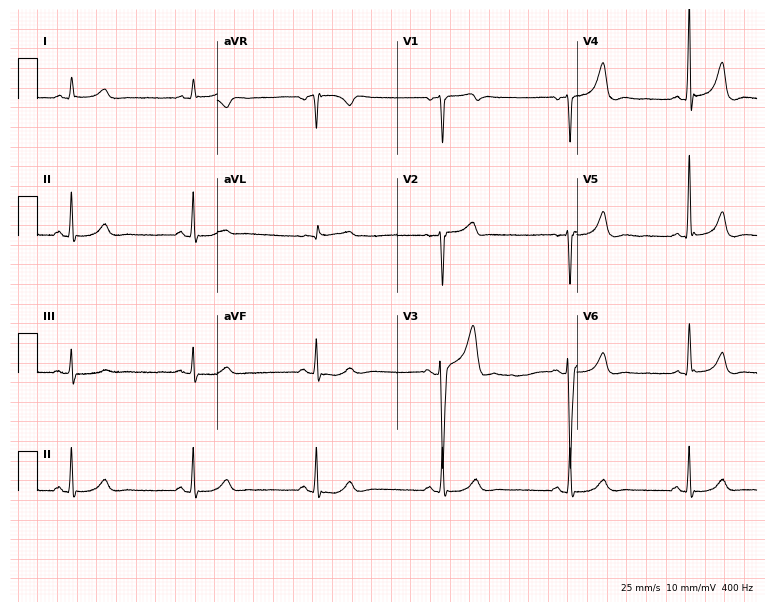
Resting 12-lead electrocardiogram (7.3-second recording at 400 Hz). Patient: a 61-year-old male. The tracing shows sinus bradycardia (a sinus rate of 50 beats per minute or less).